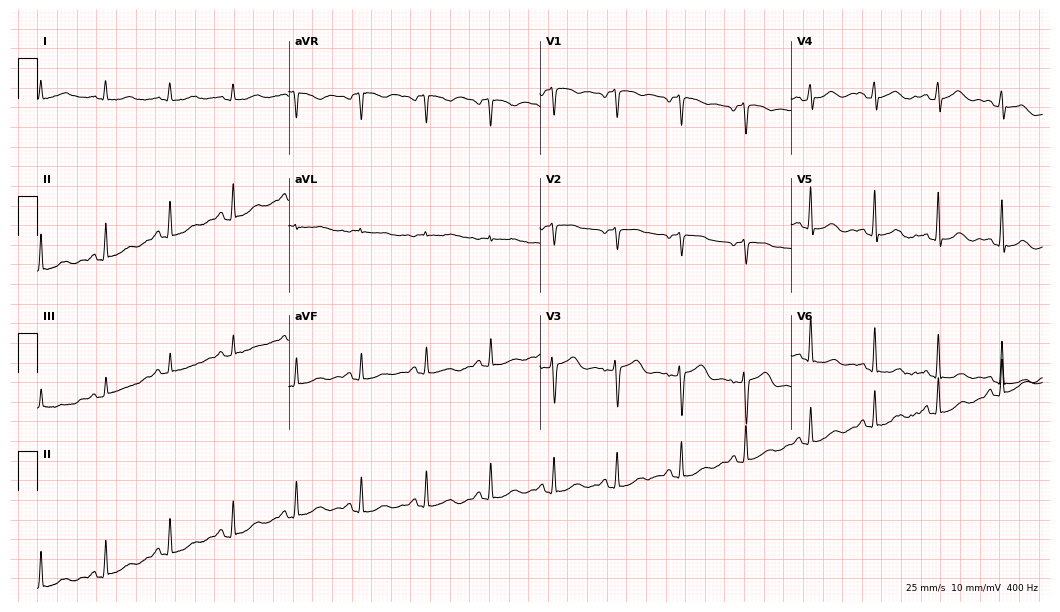
Electrocardiogram (10.2-second recording at 400 Hz), a woman, 68 years old. Overall reading on record: normal ECG.